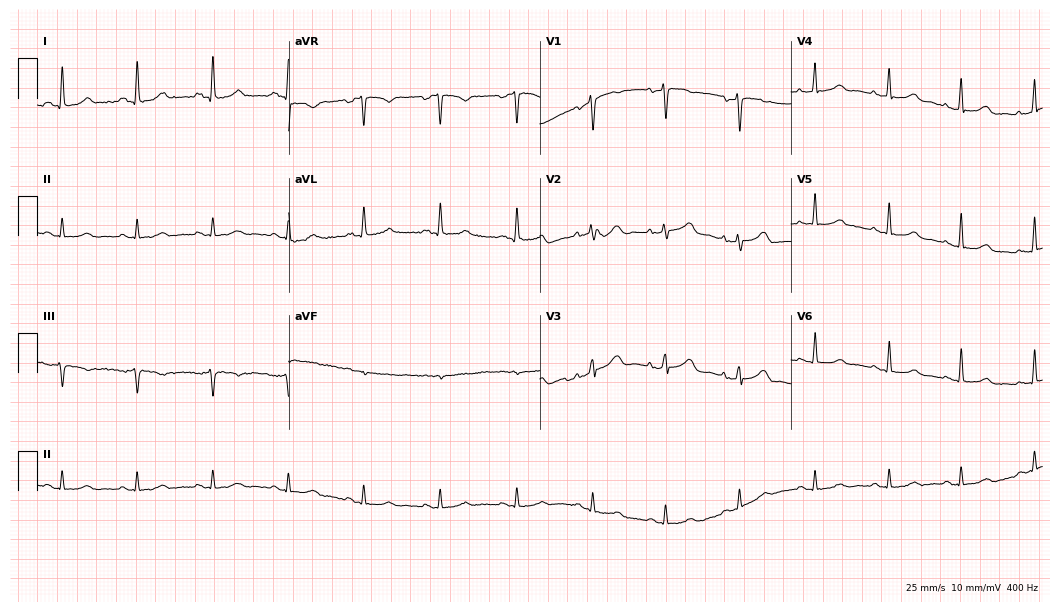
12-lead ECG from a 49-year-old woman. Recorded interpretation: within normal limits.